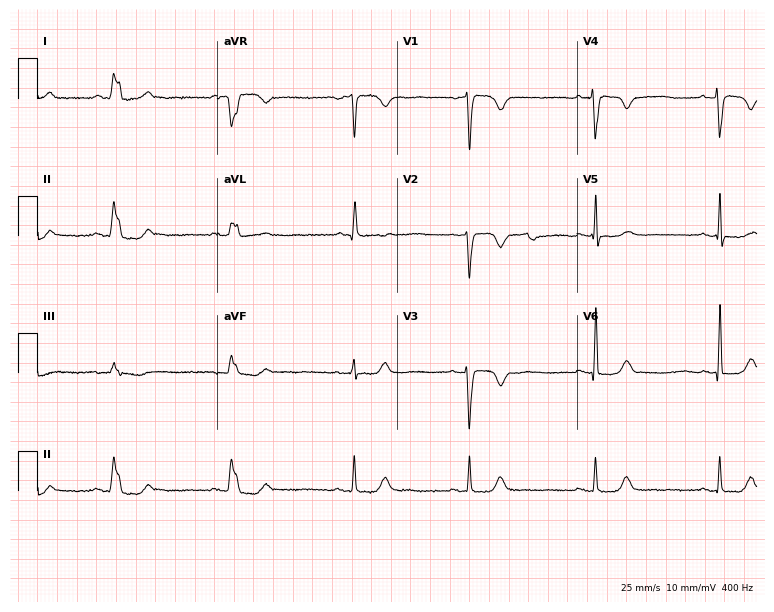
Resting 12-lead electrocardiogram. Patient: a 51-year-old female. None of these six findings is recorded: first-degree AV block, right bundle branch block, left bundle branch block, sinus bradycardia, atrial fibrillation, sinus tachycardia. Only these six findings were labelled.